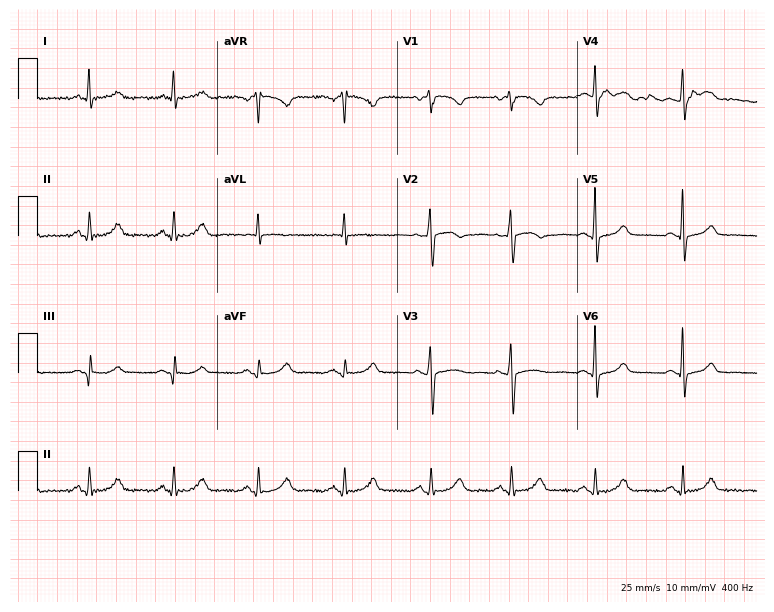
ECG (7.3-second recording at 400 Hz) — a female, 52 years old. Labelled as a normal ECG.